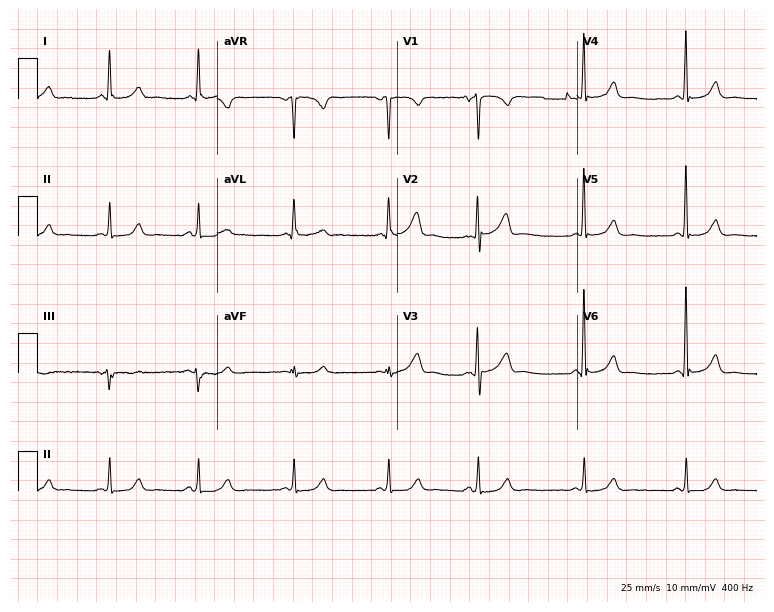
ECG (7.3-second recording at 400 Hz) — a 71-year-old male. Screened for six findings — first-degree AV block, right bundle branch block, left bundle branch block, sinus bradycardia, atrial fibrillation, sinus tachycardia — none is recorded.